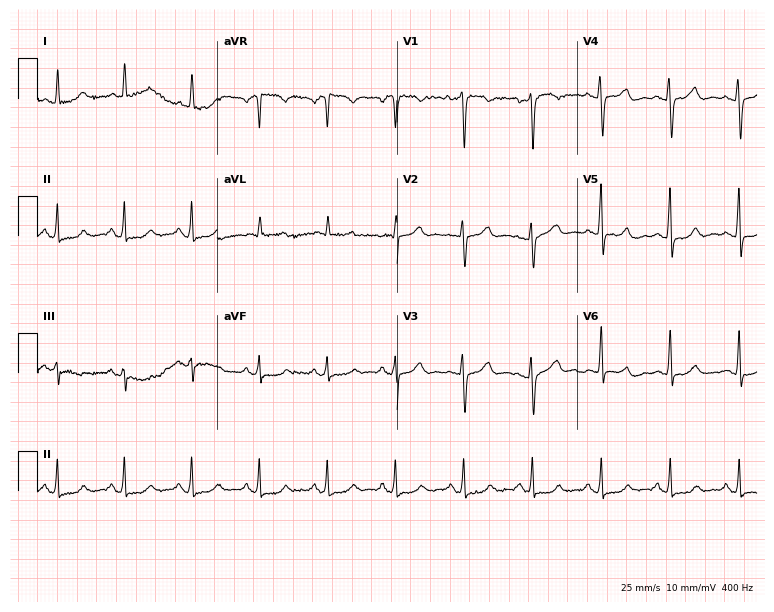
Resting 12-lead electrocardiogram. Patient: a female, 53 years old. Read as a normal ECG.